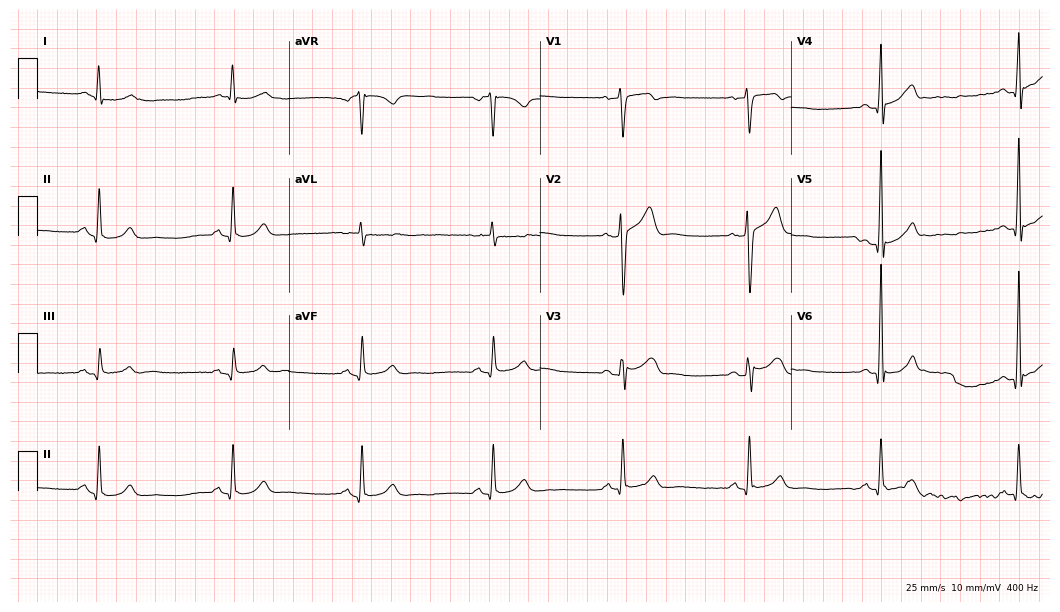
Electrocardiogram, a male patient, 55 years old. Interpretation includes sinus bradycardia (a sinus rate of 50 beats per minute or less).